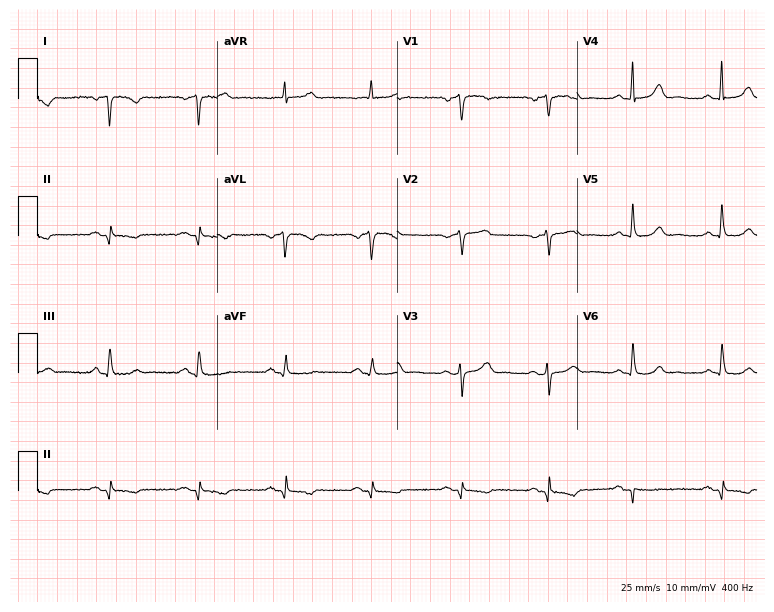
Electrocardiogram, a 63-year-old woman. Of the six screened findings (first-degree AV block, right bundle branch block, left bundle branch block, sinus bradycardia, atrial fibrillation, sinus tachycardia), none is recorded.